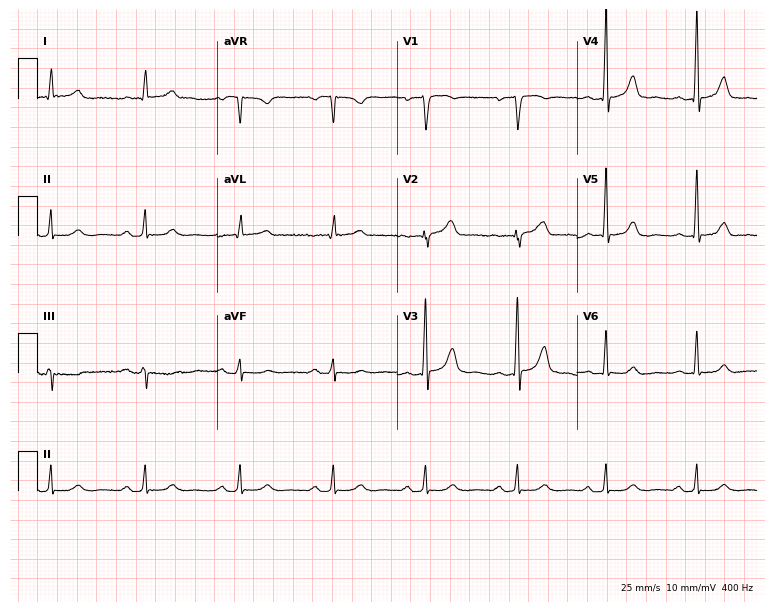
Electrocardiogram, a man, 66 years old. Overall reading on record: normal ECG.